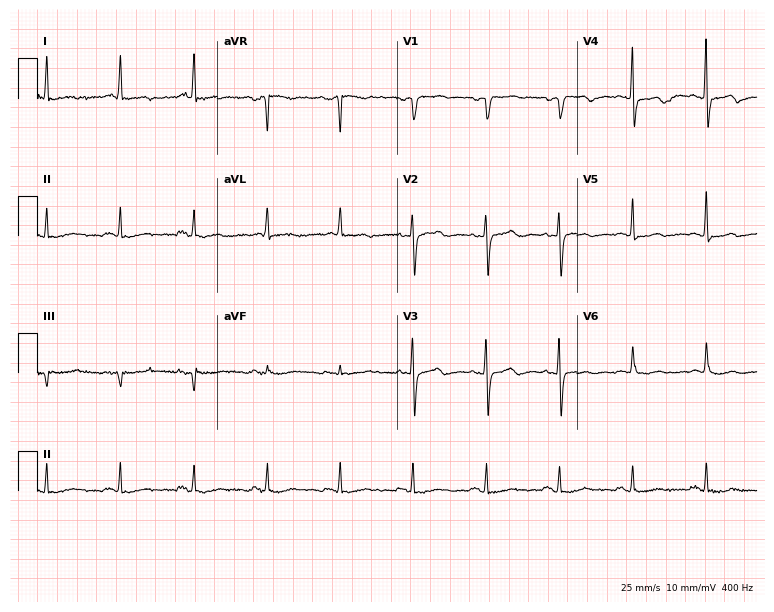
12-lead ECG from a 79-year-old woman (7.3-second recording at 400 Hz). No first-degree AV block, right bundle branch block (RBBB), left bundle branch block (LBBB), sinus bradycardia, atrial fibrillation (AF) or sinus tachycardia recorded for this tracing.